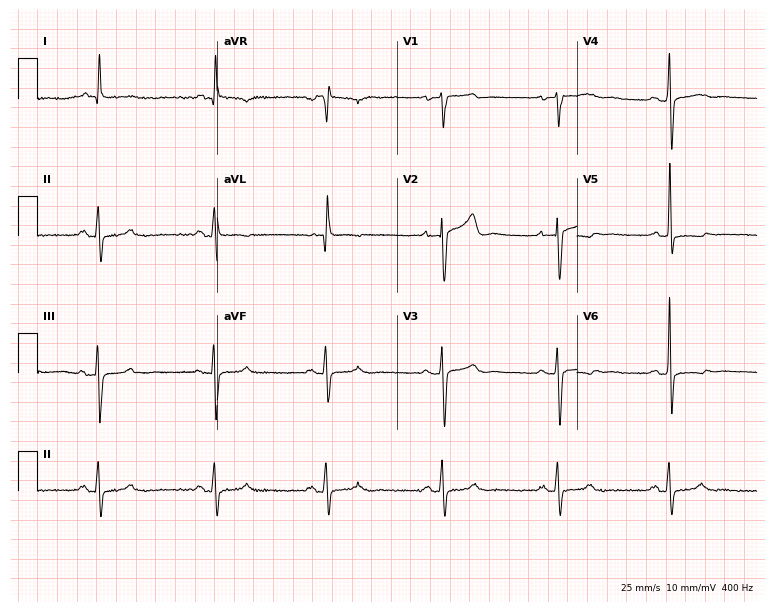
12-lead ECG from a 61-year-old male patient. Screened for six findings — first-degree AV block, right bundle branch block, left bundle branch block, sinus bradycardia, atrial fibrillation, sinus tachycardia — none is recorded.